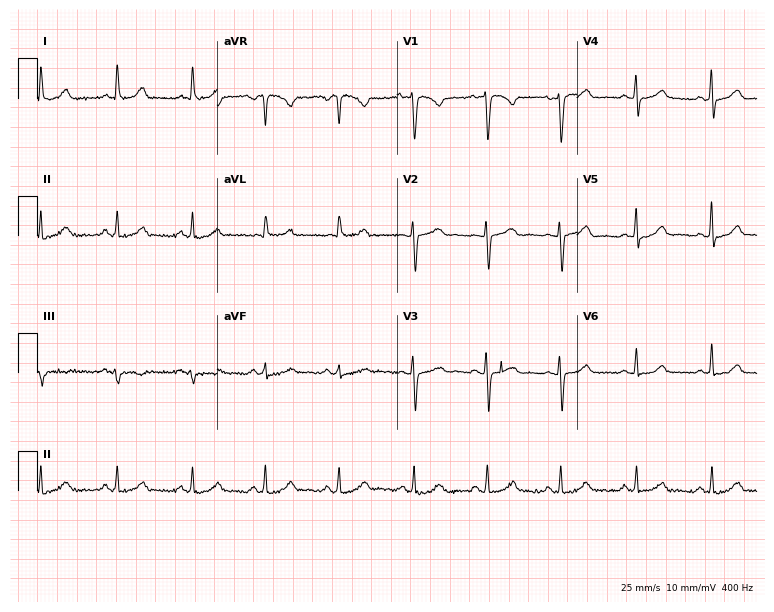
ECG (7.3-second recording at 400 Hz) — a 33-year-old woman. Labelled as a normal ECG.